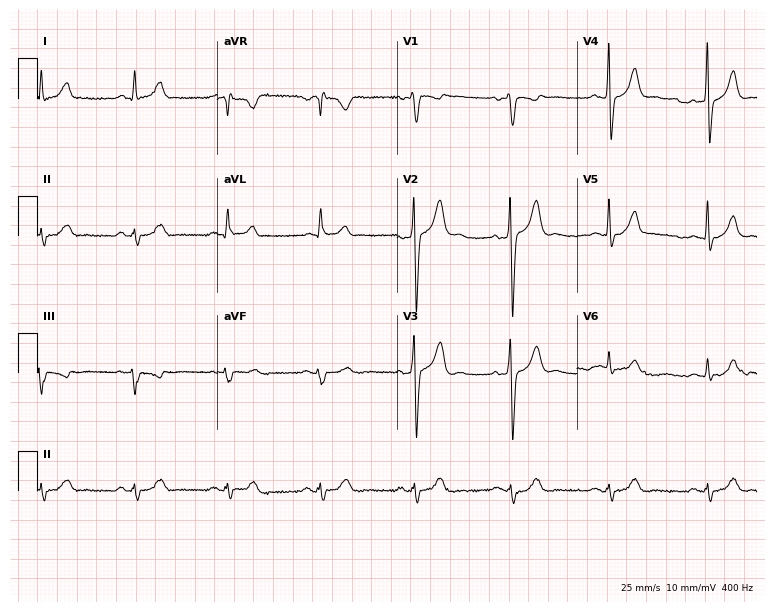
12-lead ECG from a 57-year-old male. No first-degree AV block, right bundle branch block (RBBB), left bundle branch block (LBBB), sinus bradycardia, atrial fibrillation (AF) or sinus tachycardia recorded for this tracing. Other findings, if any, are not listed.